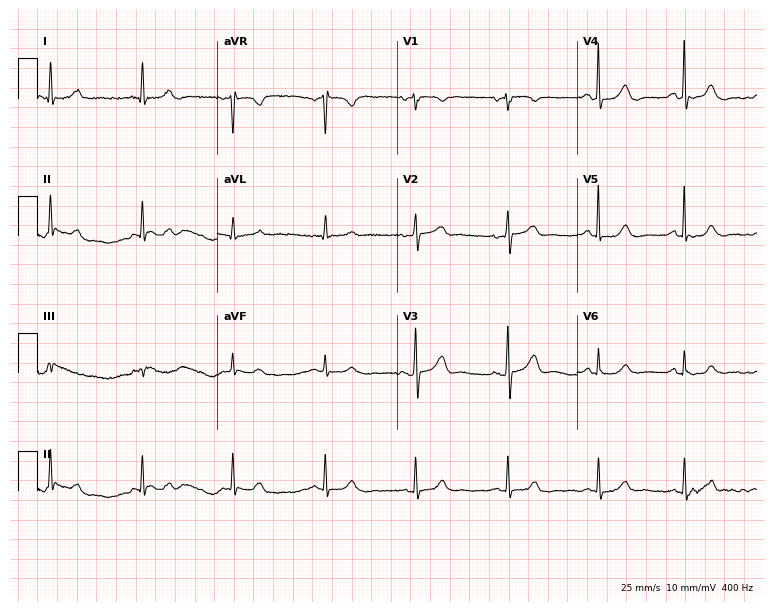
12-lead ECG (7.3-second recording at 400 Hz) from a woman, 62 years old. Labelled as a normal ECG.